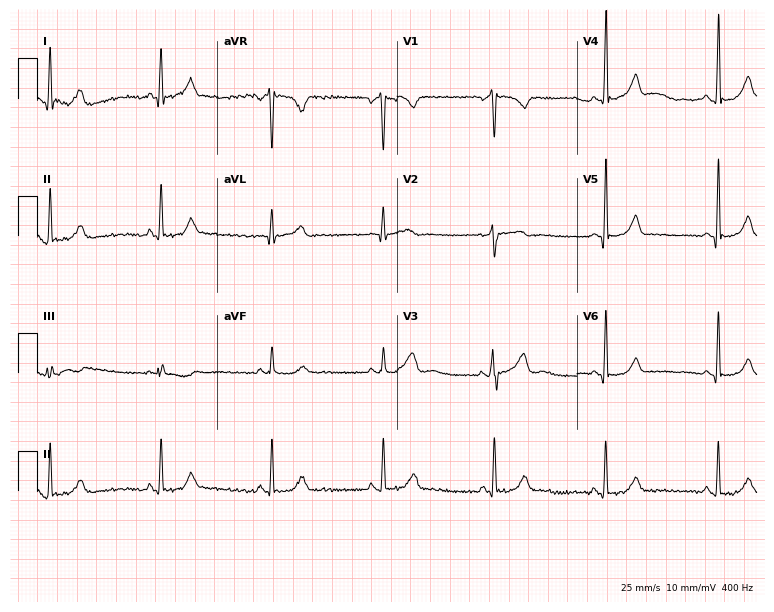
12-lead ECG from a 34-year-old female patient. Screened for six findings — first-degree AV block, right bundle branch block, left bundle branch block, sinus bradycardia, atrial fibrillation, sinus tachycardia — none is recorded.